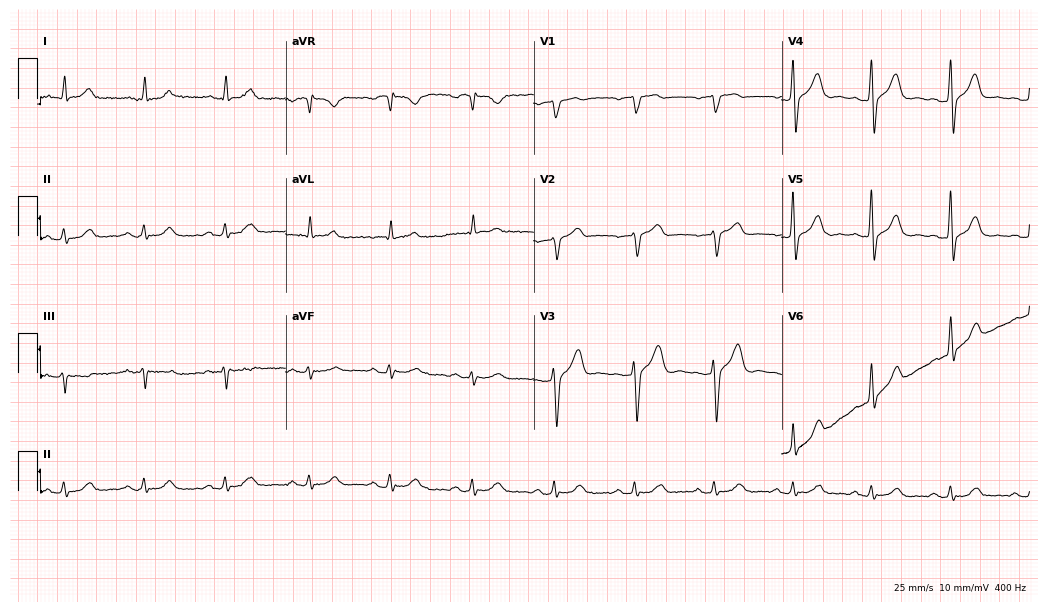
ECG (10.1-second recording at 400 Hz) — a male, 51 years old. Screened for six findings — first-degree AV block, right bundle branch block, left bundle branch block, sinus bradycardia, atrial fibrillation, sinus tachycardia — none is recorded. Only these six findings were labelled.